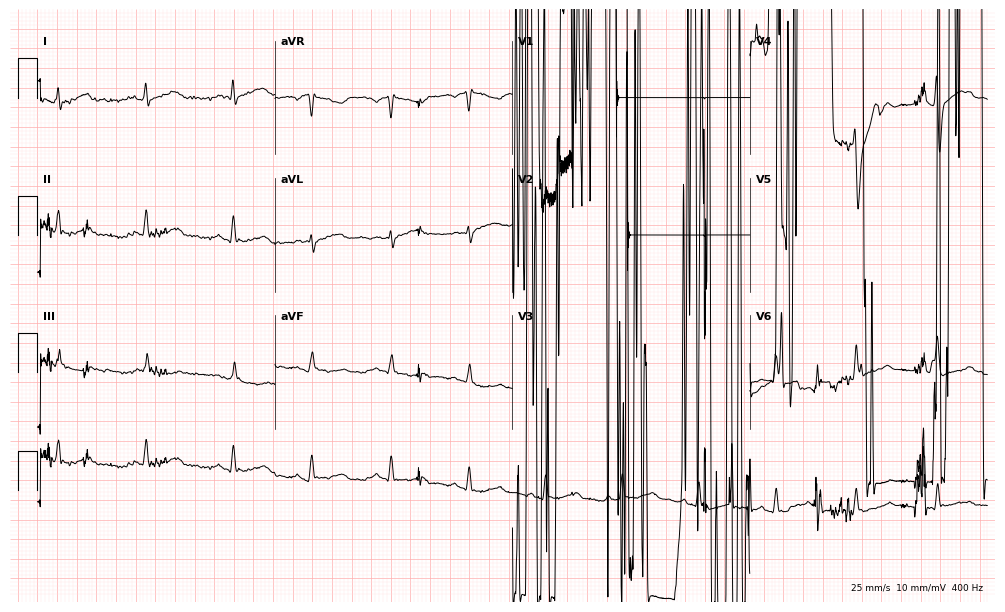
ECG — a 25-year-old male. Screened for six findings — first-degree AV block, right bundle branch block, left bundle branch block, sinus bradycardia, atrial fibrillation, sinus tachycardia — none is recorded. Only these six findings were labelled.